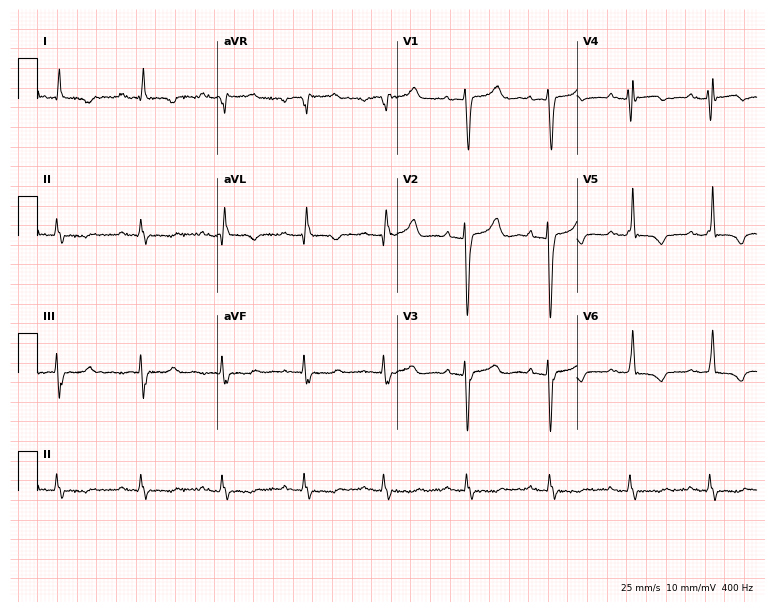
Standard 12-lead ECG recorded from a female patient, 49 years old (7.3-second recording at 400 Hz). None of these six findings is recorded: first-degree AV block, right bundle branch block (RBBB), left bundle branch block (LBBB), sinus bradycardia, atrial fibrillation (AF), sinus tachycardia.